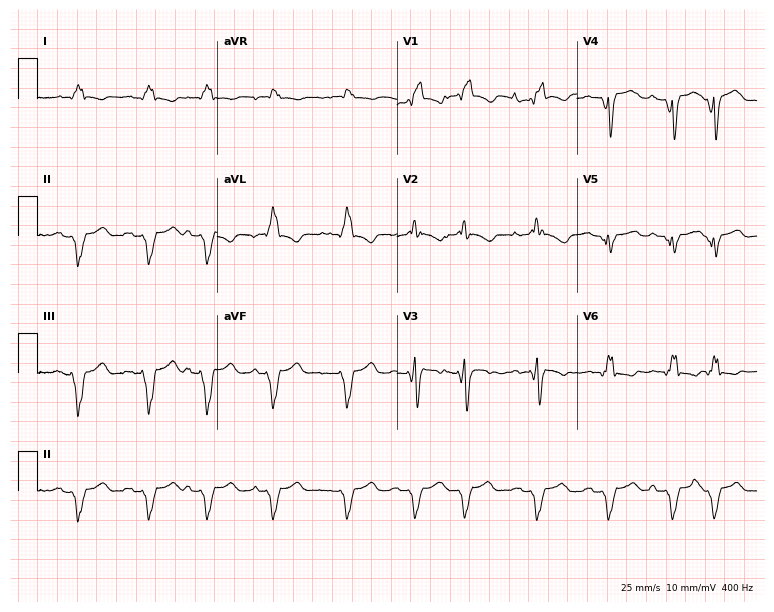
12-lead ECG from a 37-year-old man (7.3-second recording at 400 Hz). Shows right bundle branch block.